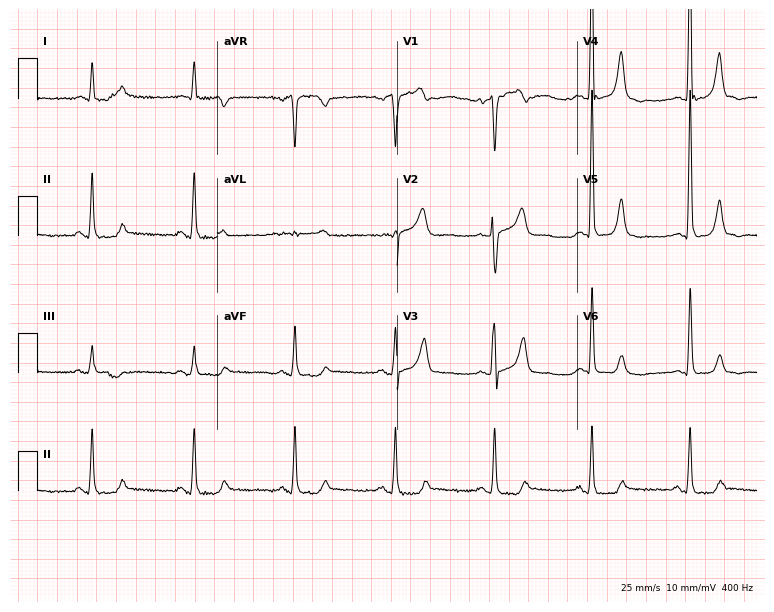
Resting 12-lead electrocardiogram. Patient: a 70-year-old male. None of these six findings is recorded: first-degree AV block, right bundle branch block, left bundle branch block, sinus bradycardia, atrial fibrillation, sinus tachycardia. Only these six findings were labelled.